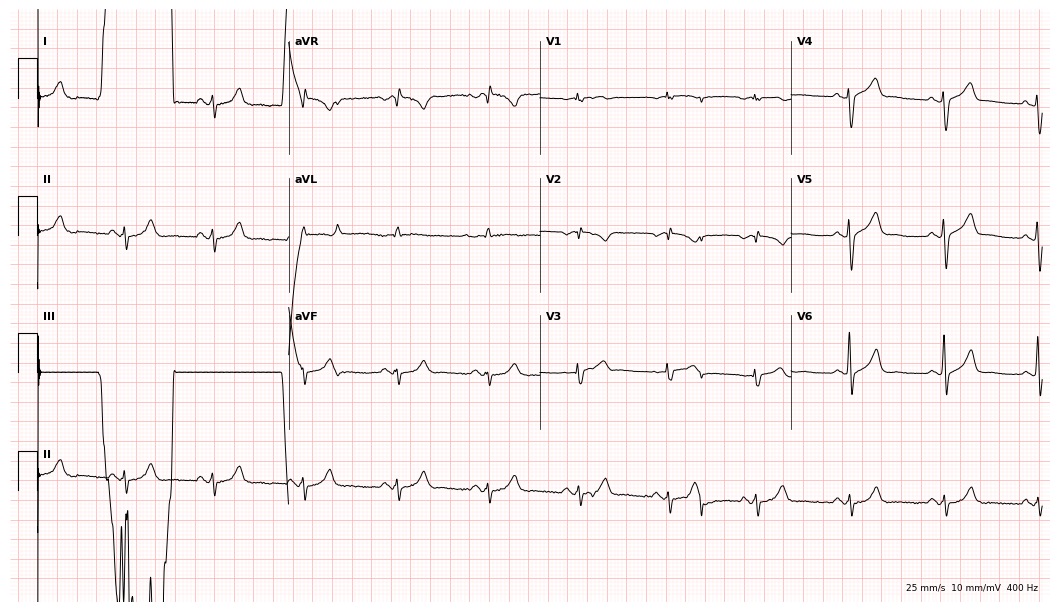
ECG — a 74-year-old male patient. Screened for six findings — first-degree AV block, right bundle branch block, left bundle branch block, sinus bradycardia, atrial fibrillation, sinus tachycardia — none is recorded.